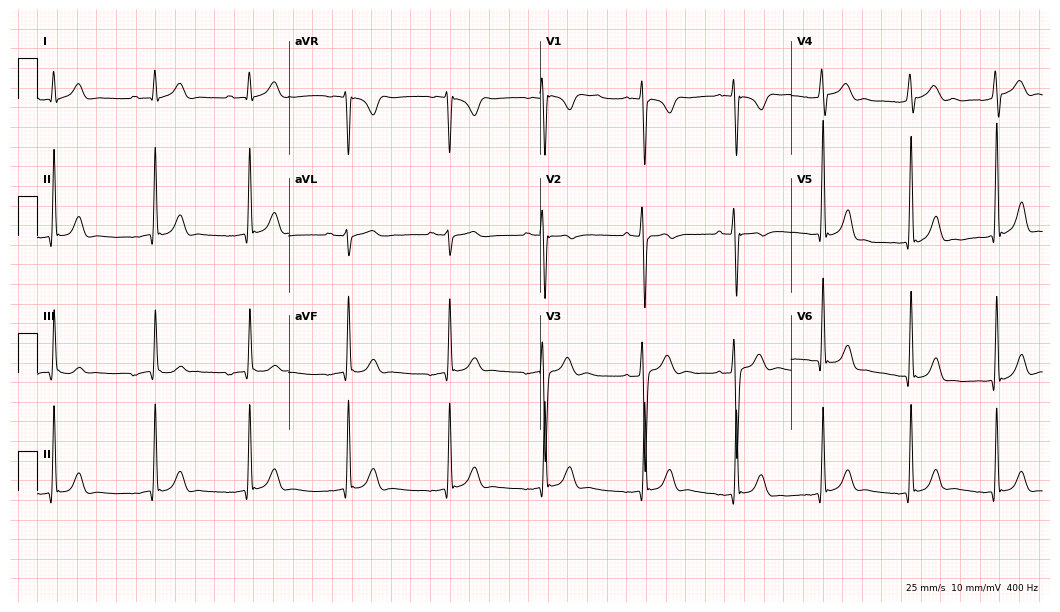
ECG (10.2-second recording at 400 Hz) — a 17-year-old male patient. Screened for six findings — first-degree AV block, right bundle branch block, left bundle branch block, sinus bradycardia, atrial fibrillation, sinus tachycardia — none is recorded. Findings outside these six are not listed.